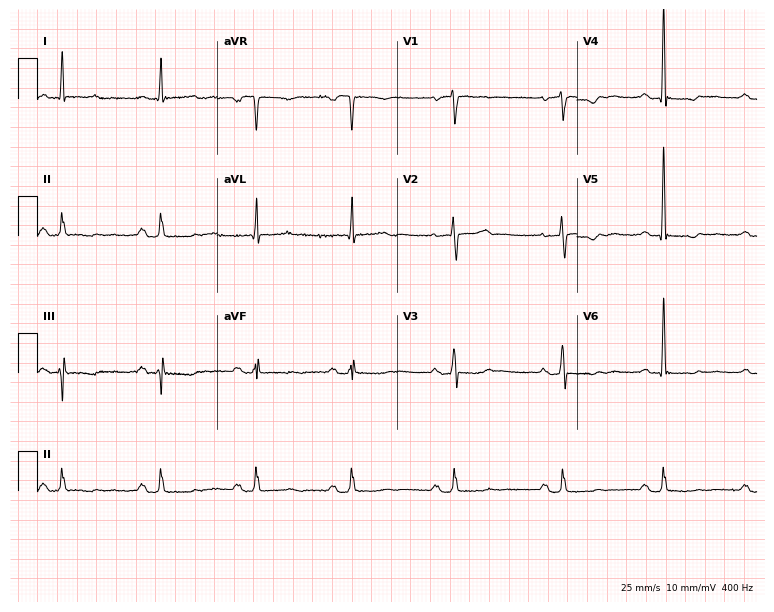
Electrocardiogram, a 72-year-old woman. Of the six screened findings (first-degree AV block, right bundle branch block (RBBB), left bundle branch block (LBBB), sinus bradycardia, atrial fibrillation (AF), sinus tachycardia), none is recorded. Findings outside these six are not listed.